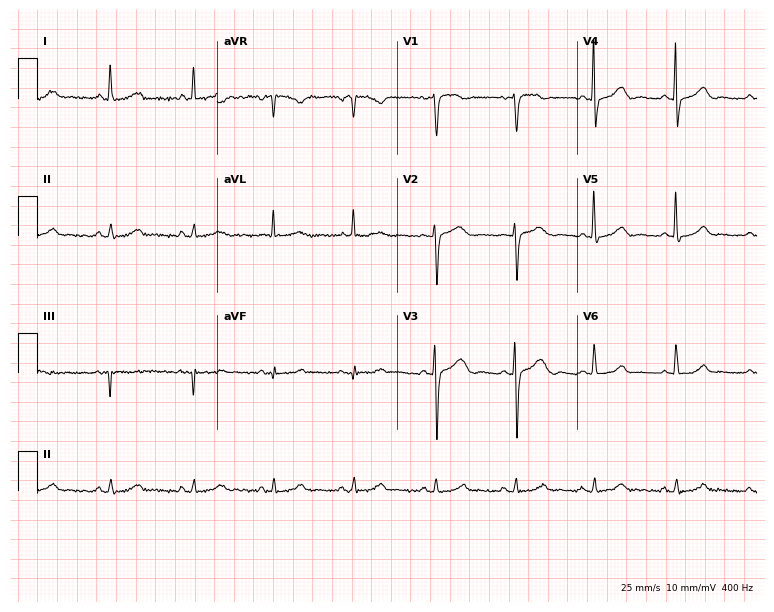
12-lead ECG from a 72-year-old woman. No first-degree AV block, right bundle branch block, left bundle branch block, sinus bradycardia, atrial fibrillation or sinus tachycardia recorded for this tracing.